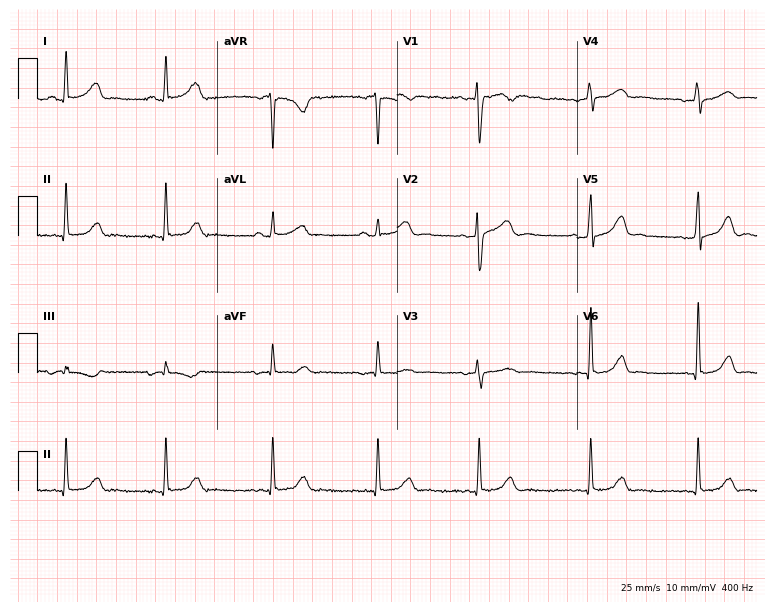
12-lead ECG (7.3-second recording at 400 Hz) from a 50-year-old female patient. Labelled as a normal ECG.